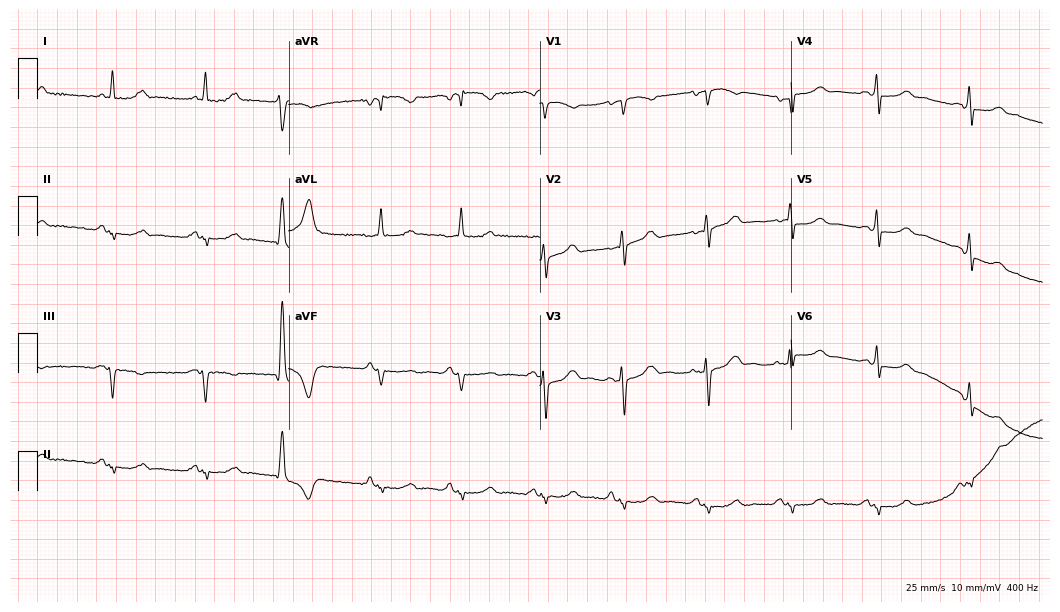
Resting 12-lead electrocardiogram (10.2-second recording at 400 Hz). Patient: a woman, 59 years old. None of these six findings is recorded: first-degree AV block, right bundle branch block, left bundle branch block, sinus bradycardia, atrial fibrillation, sinus tachycardia.